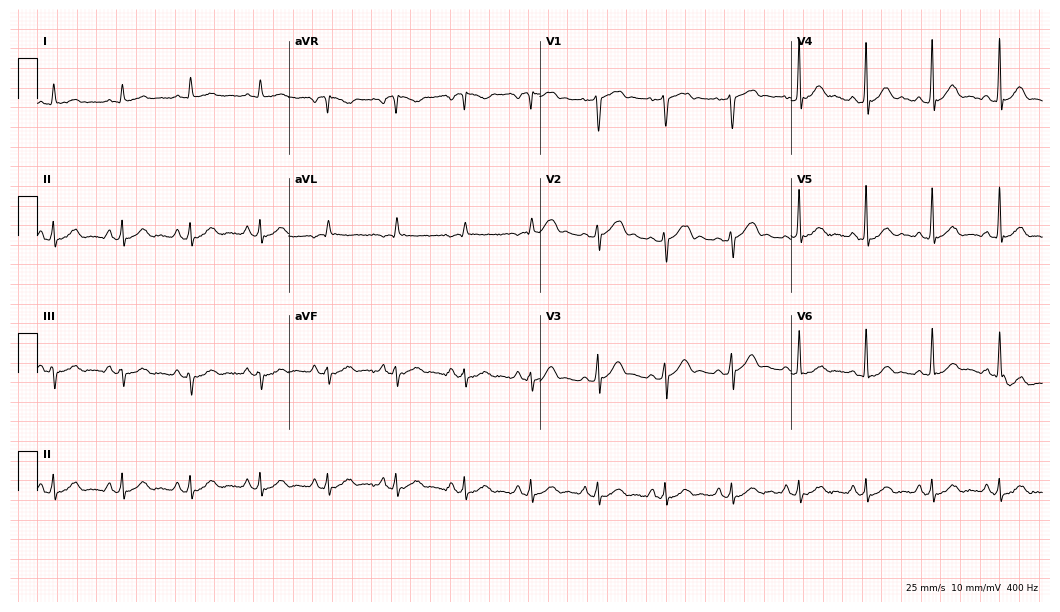
12-lead ECG from a 62-year-old male patient. Recorded interpretation: within normal limits.